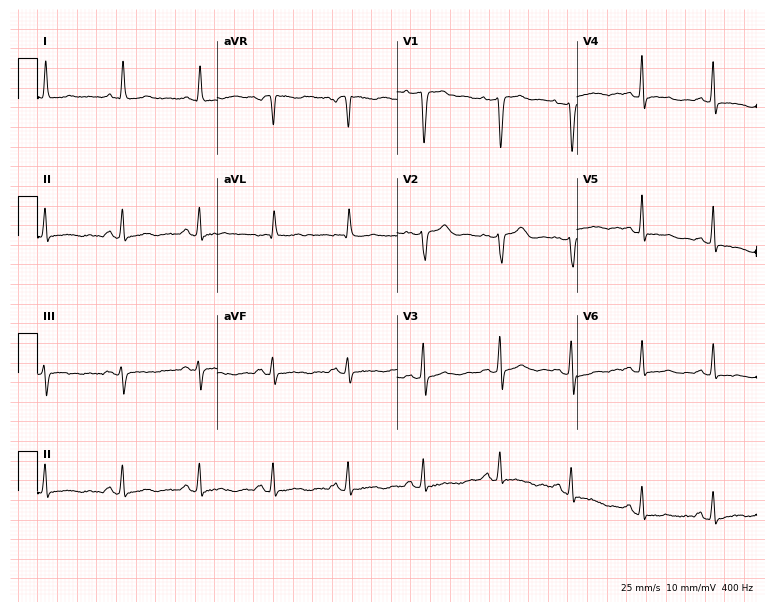
ECG — a 53-year-old female patient. Screened for six findings — first-degree AV block, right bundle branch block (RBBB), left bundle branch block (LBBB), sinus bradycardia, atrial fibrillation (AF), sinus tachycardia — none is recorded.